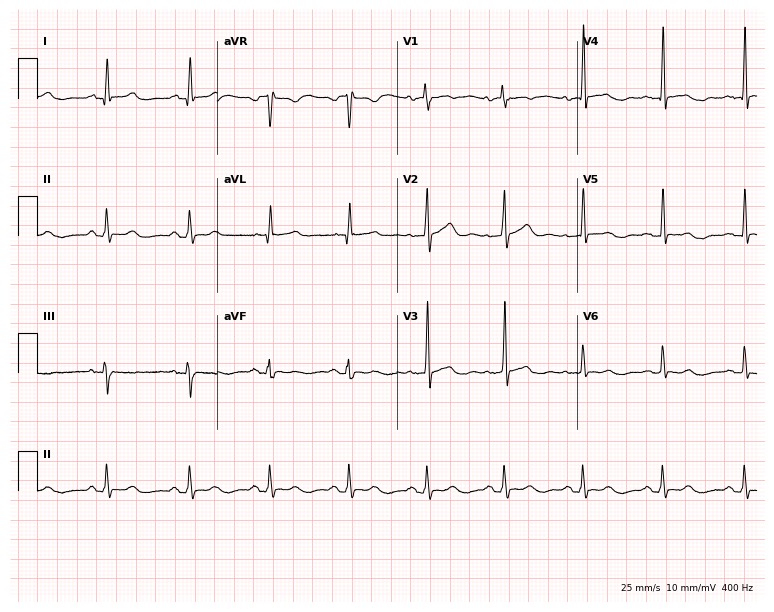
12-lead ECG from a 49-year-old male. Recorded interpretation: within normal limits.